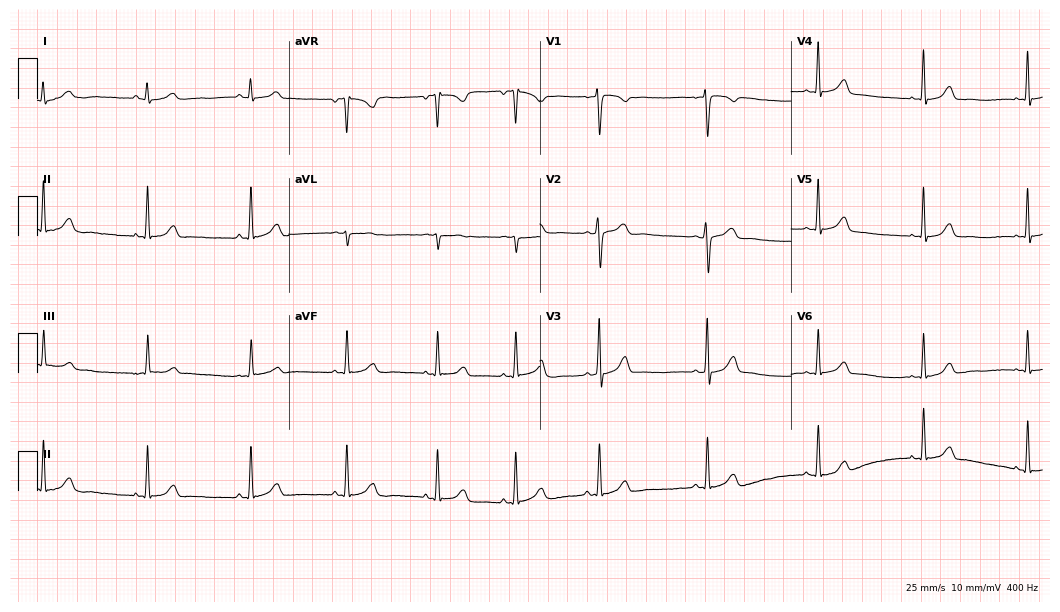
12-lead ECG (10.2-second recording at 400 Hz) from a female, 22 years old. Labelled as a normal ECG.